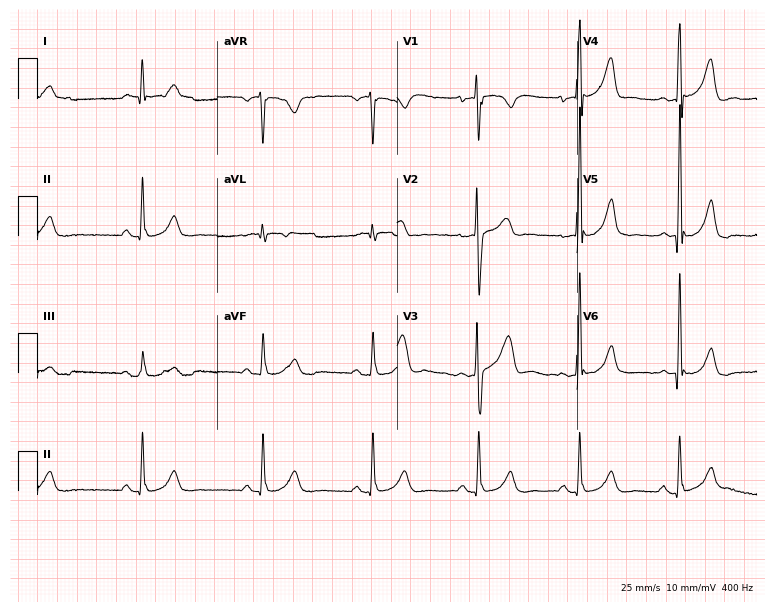
12-lead ECG from a man, 64 years old. Screened for six findings — first-degree AV block, right bundle branch block (RBBB), left bundle branch block (LBBB), sinus bradycardia, atrial fibrillation (AF), sinus tachycardia — none is recorded. Other findings, if any, are not listed.